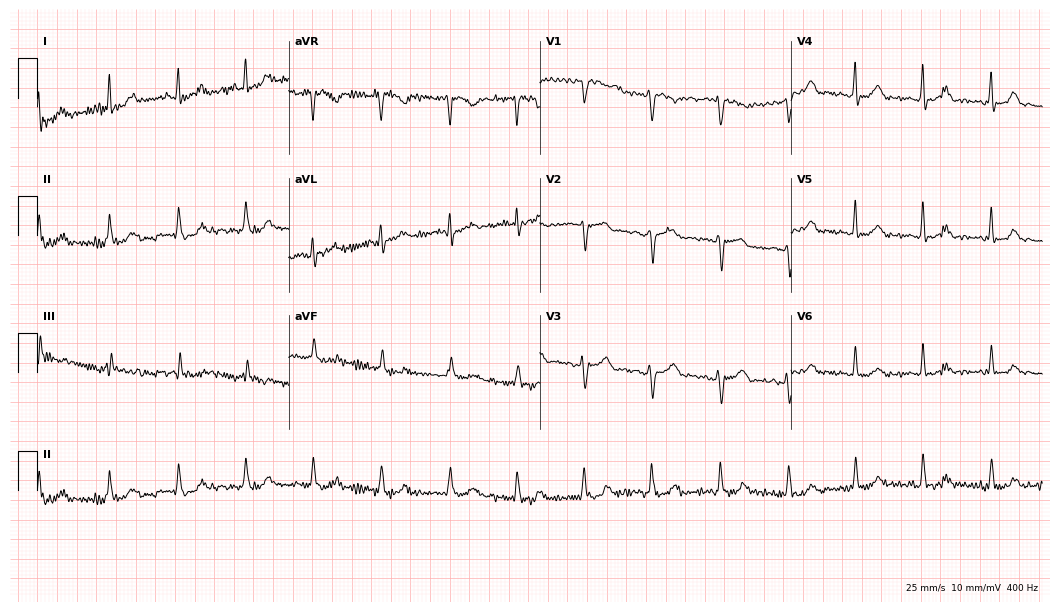
Electrocardiogram, a male, 74 years old. Of the six screened findings (first-degree AV block, right bundle branch block, left bundle branch block, sinus bradycardia, atrial fibrillation, sinus tachycardia), none is recorded. Findings outside these six are not listed.